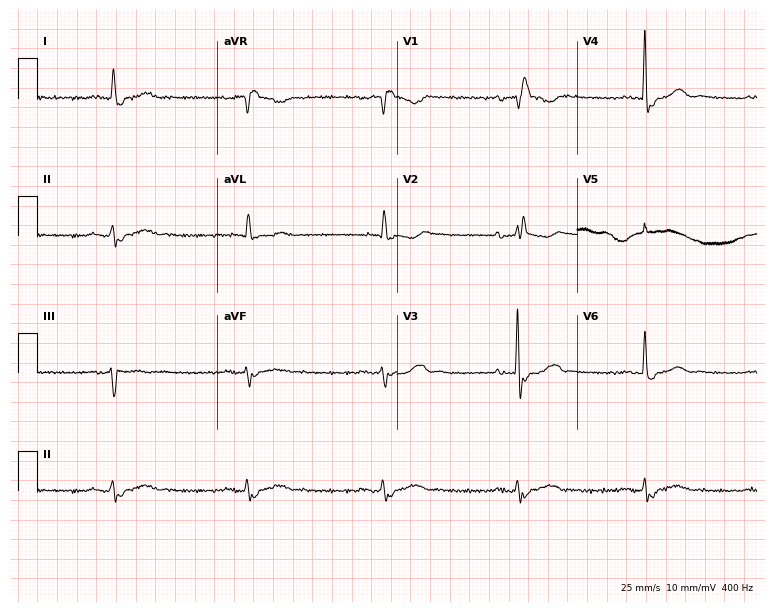
Standard 12-lead ECG recorded from a male patient, 75 years old (7.3-second recording at 400 Hz). The tracing shows sinus bradycardia (a sinus rate of 50 beats per minute or less).